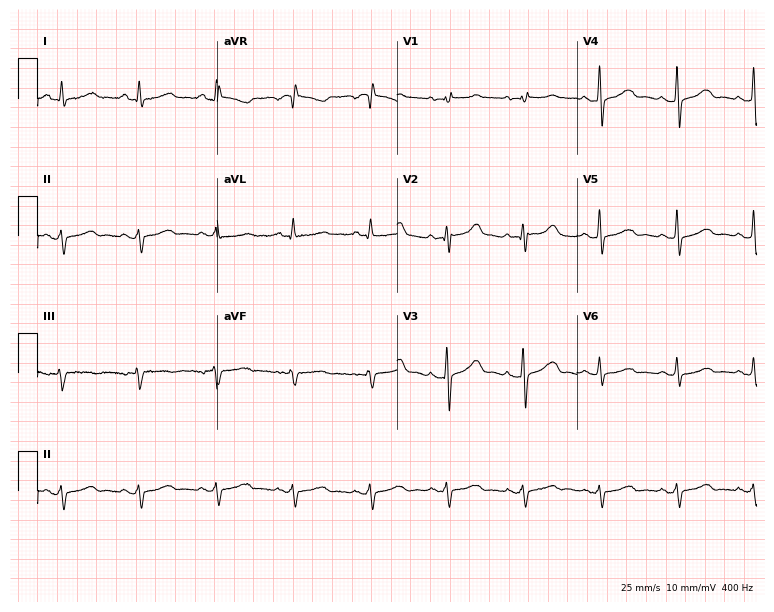
12-lead ECG (7.3-second recording at 400 Hz) from a man, 80 years old. Screened for six findings — first-degree AV block, right bundle branch block, left bundle branch block, sinus bradycardia, atrial fibrillation, sinus tachycardia — none is recorded.